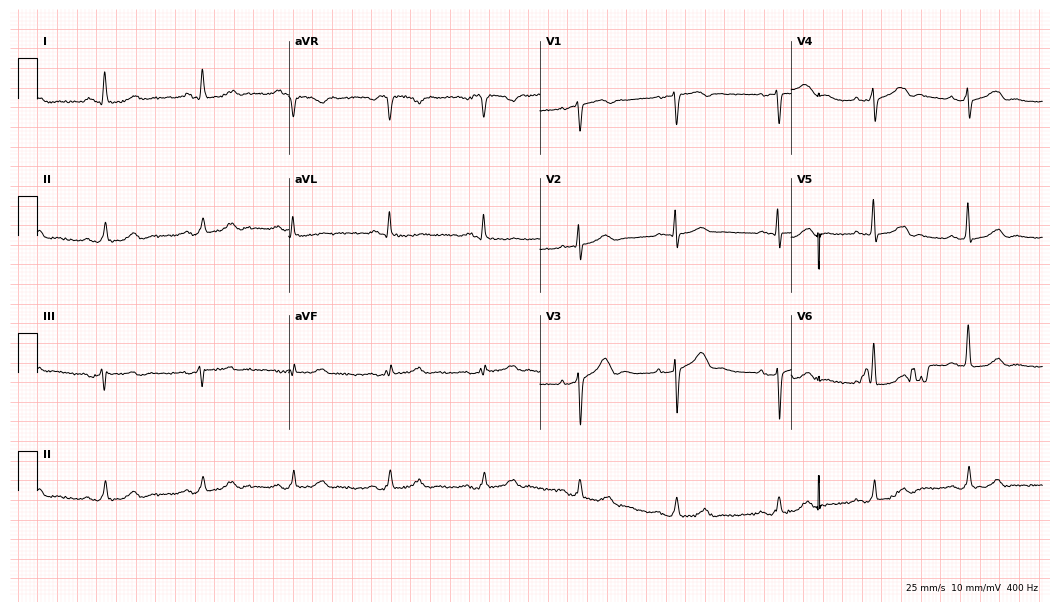
12-lead ECG from a male patient, 75 years old (10.2-second recording at 400 Hz). Recorded interpretation: within normal limits.